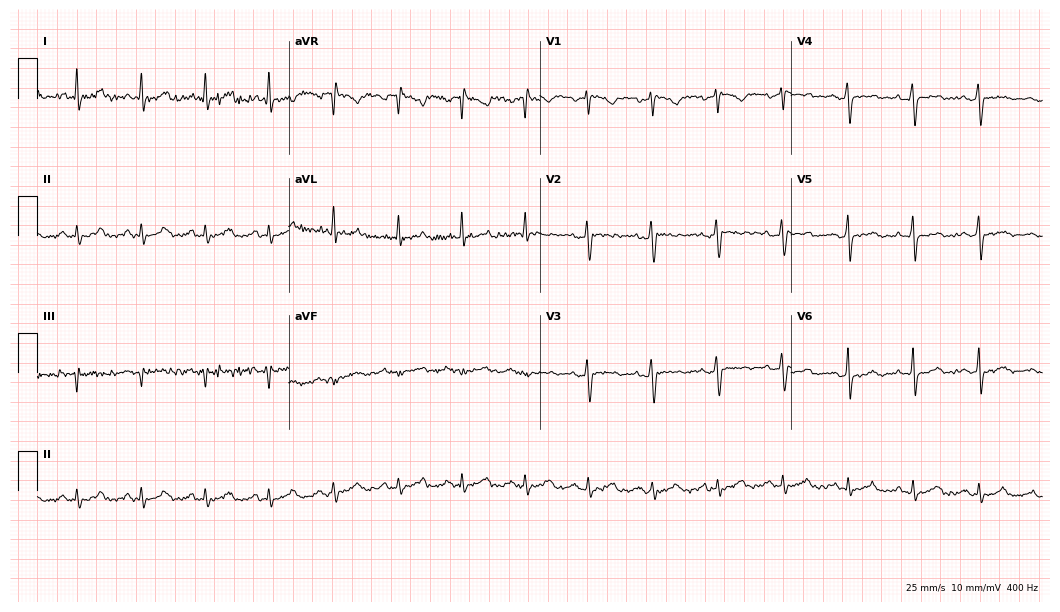
ECG (10.2-second recording at 400 Hz) — a 44-year-old man. Labelled as a normal ECG.